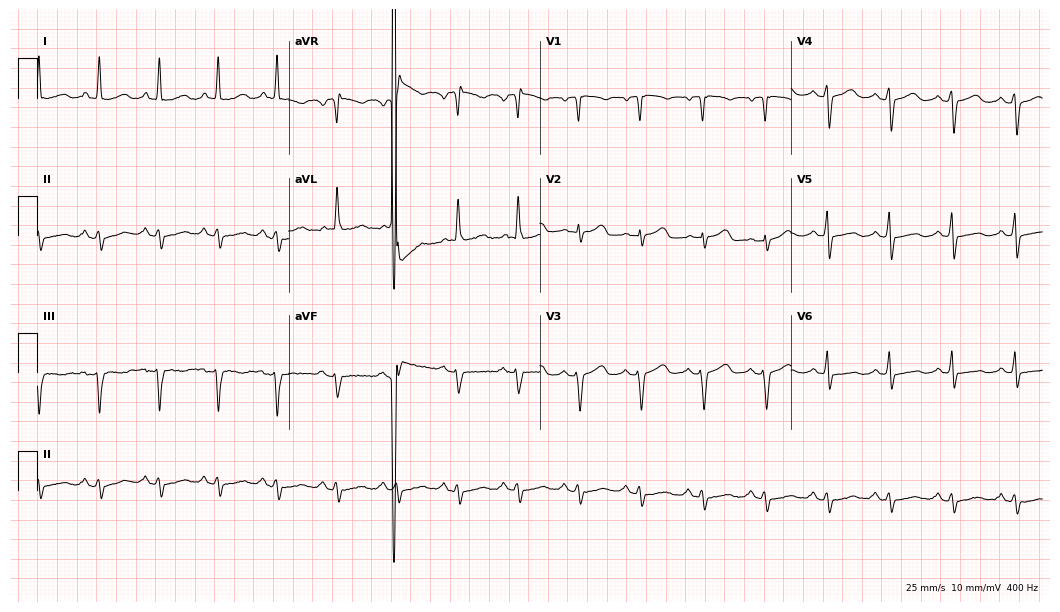
Electrocardiogram, a 74-year-old woman. Of the six screened findings (first-degree AV block, right bundle branch block (RBBB), left bundle branch block (LBBB), sinus bradycardia, atrial fibrillation (AF), sinus tachycardia), none is recorded.